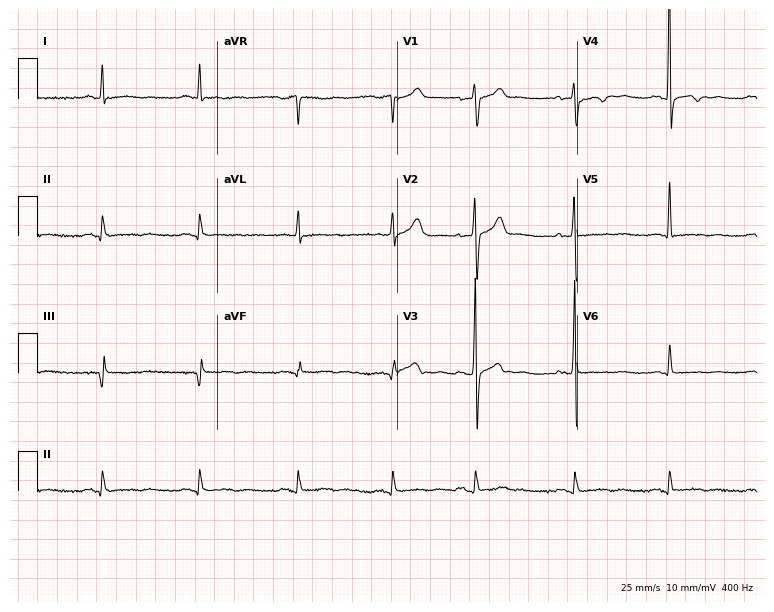
Electrocardiogram, a man, 52 years old. Of the six screened findings (first-degree AV block, right bundle branch block, left bundle branch block, sinus bradycardia, atrial fibrillation, sinus tachycardia), none is recorded.